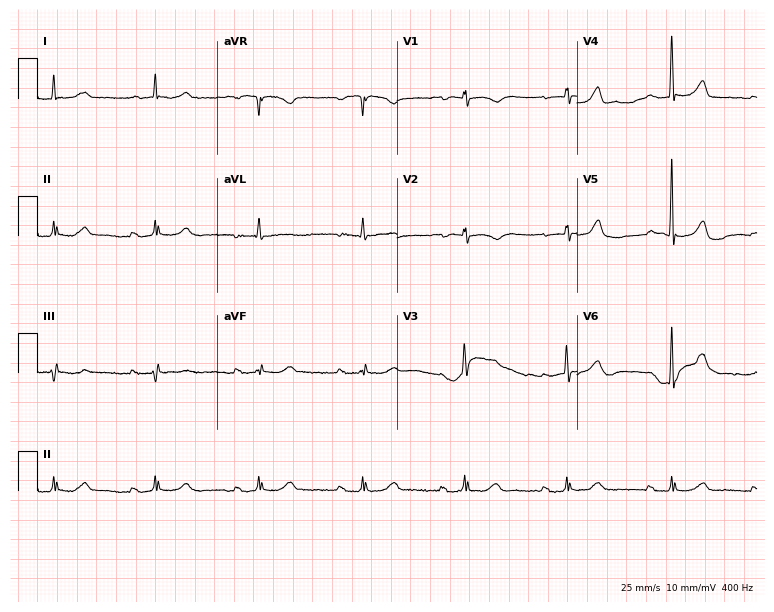
12-lead ECG (7.3-second recording at 400 Hz) from a 74-year-old female. Findings include first-degree AV block.